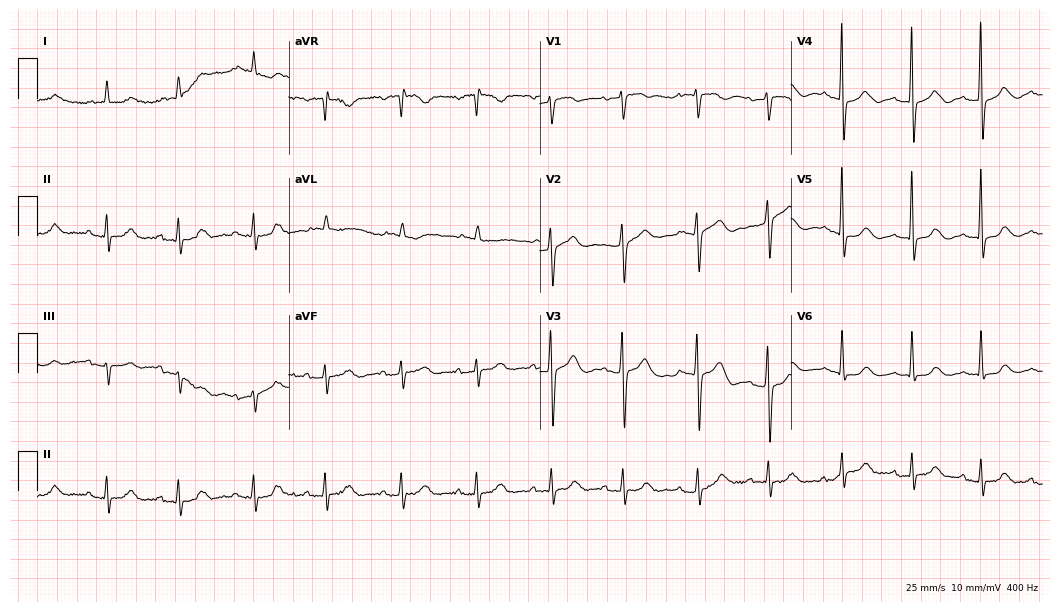
12-lead ECG from a female patient, 87 years old. Labelled as a normal ECG.